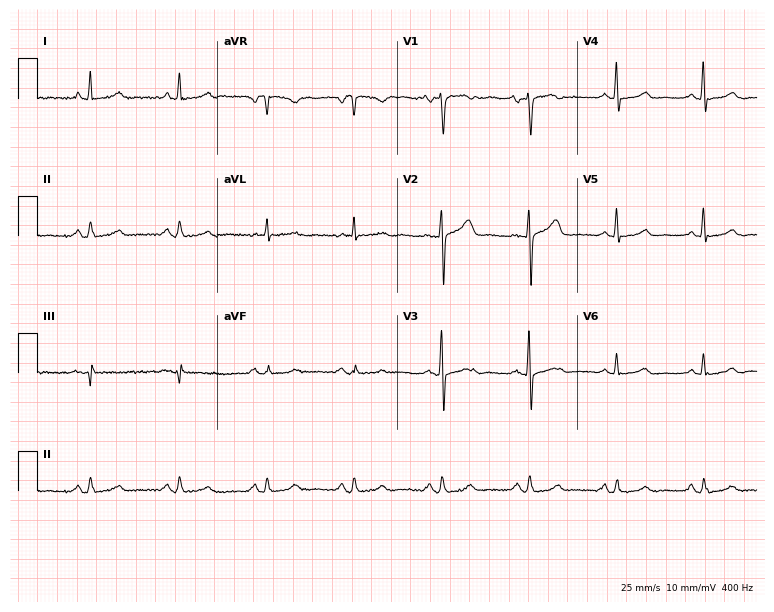
Electrocardiogram (7.3-second recording at 400 Hz), a 70-year-old female patient. Overall reading on record: normal ECG.